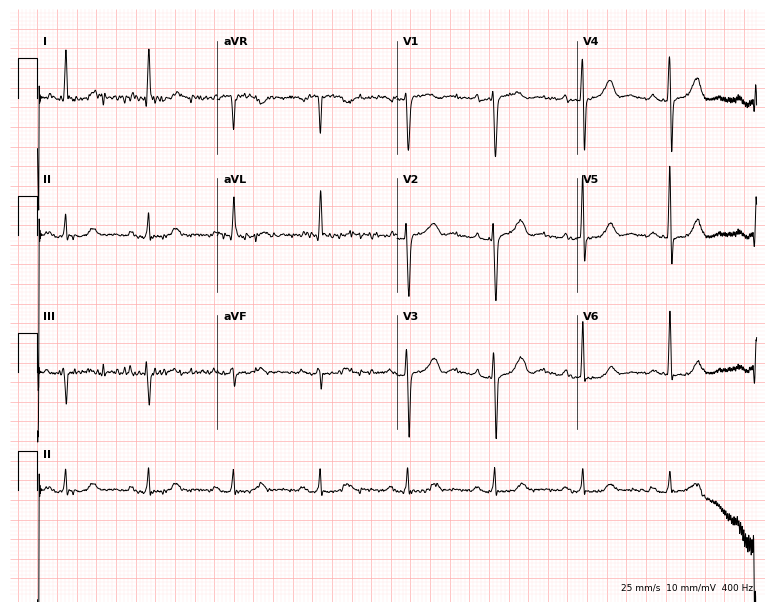
Resting 12-lead electrocardiogram. Patient: a woman, 57 years old. None of these six findings is recorded: first-degree AV block, right bundle branch block, left bundle branch block, sinus bradycardia, atrial fibrillation, sinus tachycardia.